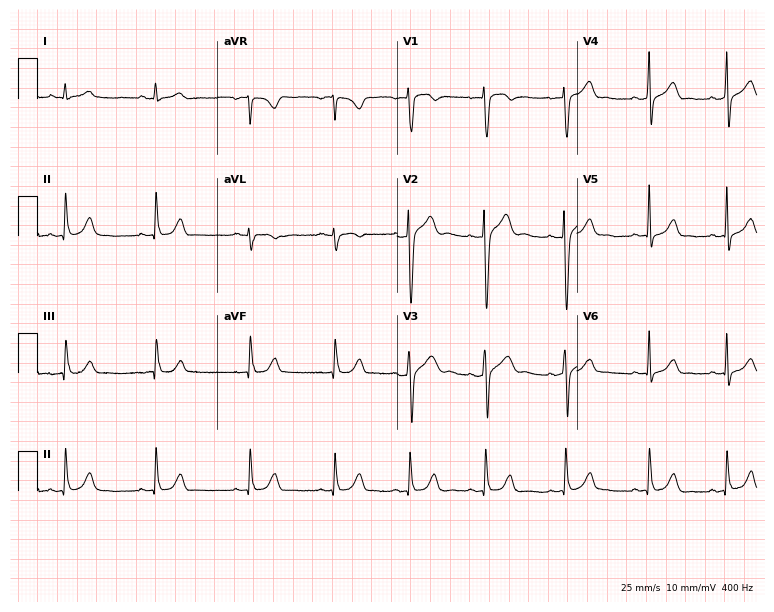
Electrocardiogram, a 26-year-old man. Overall reading on record: normal ECG.